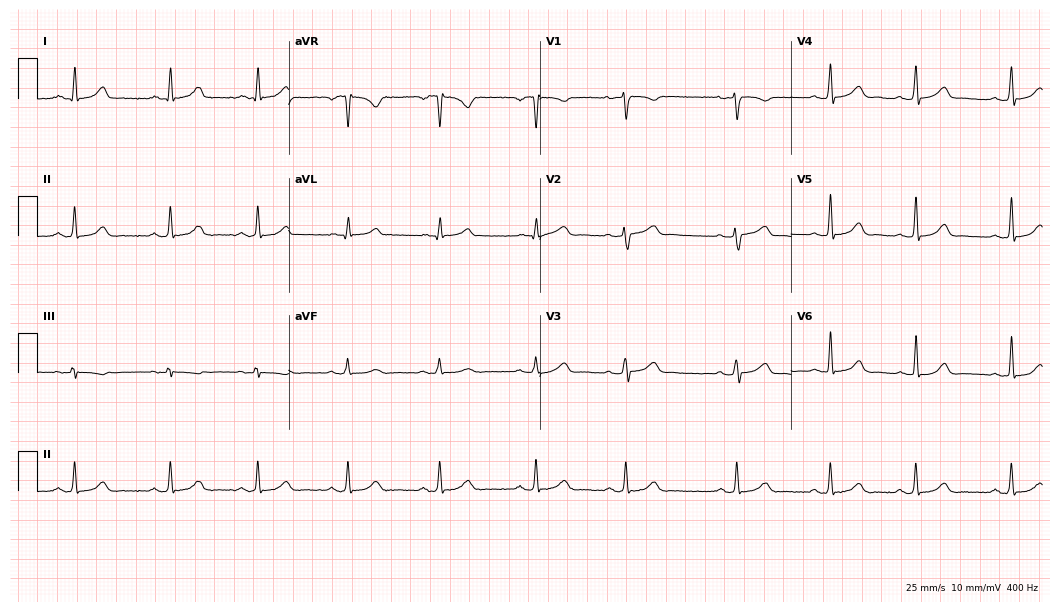
12-lead ECG (10.2-second recording at 400 Hz) from a 32-year-old female. Labelled as a normal ECG.